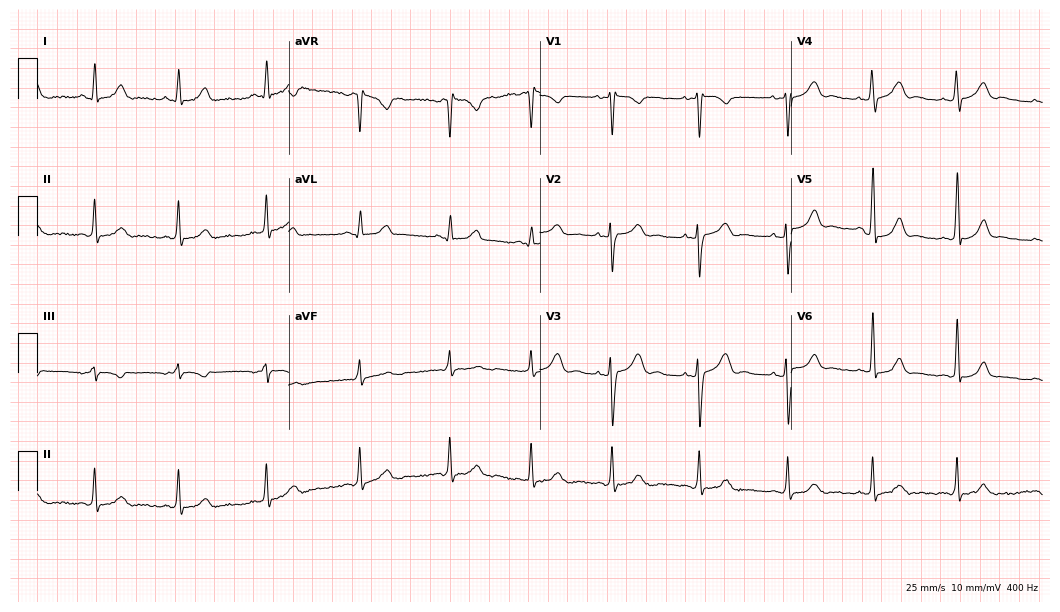
ECG — a 20-year-old female. Screened for six findings — first-degree AV block, right bundle branch block (RBBB), left bundle branch block (LBBB), sinus bradycardia, atrial fibrillation (AF), sinus tachycardia — none is recorded. Only these six findings were labelled.